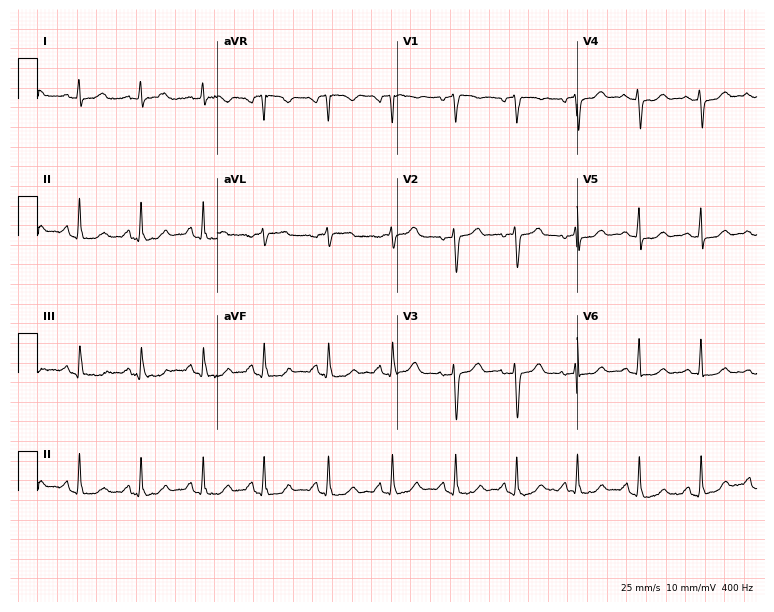
Electrocardiogram, a female patient, 43 years old. Overall reading on record: normal ECG.